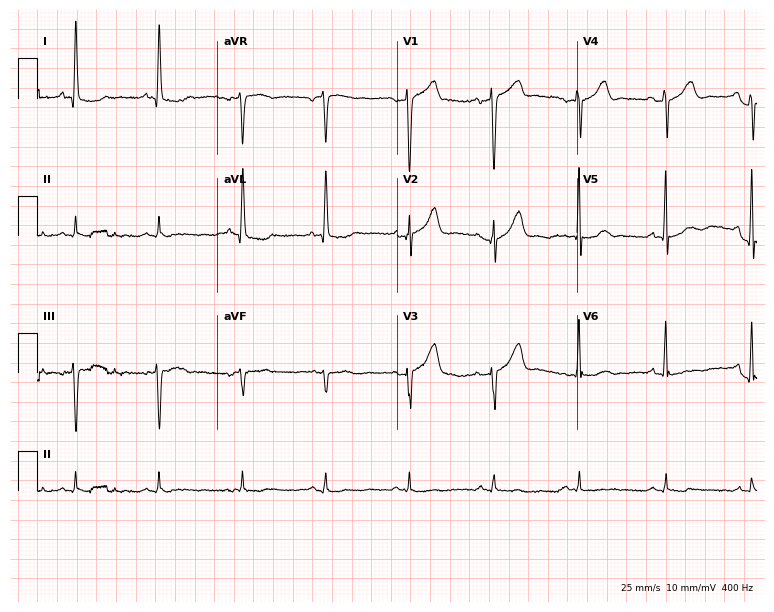
12-lead ECG from a female patient, 71 years old (7.3-second recording at 400 Hz). No first-degree AV block, right bundle branch block (RBBB), left bundle branch block (LBBB), sinus bradycardia, atrial fibrillation (AF) or sinus tachycardia recorded for this tracing.